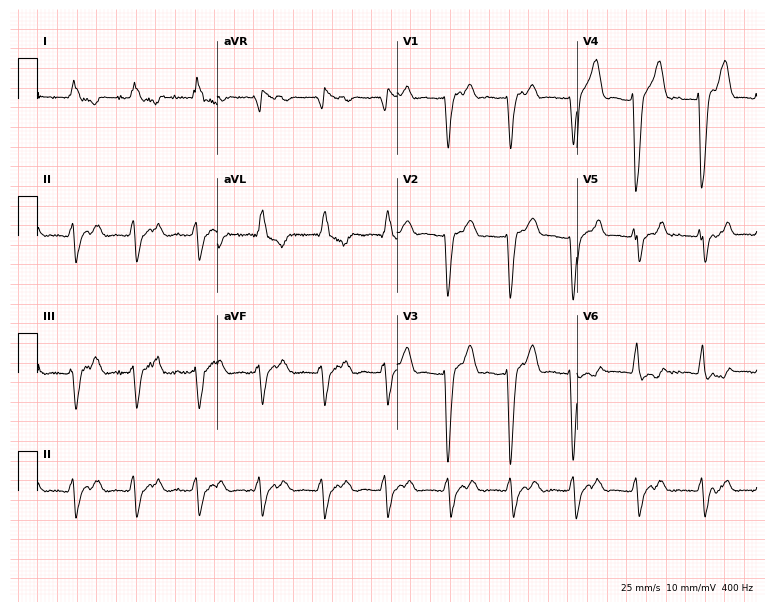
Standard 12-lead ECG recorded from a female patient, 80 years old. None of these six findings is recorded: first-degree AV block, right bundle branch block, left bundle branch block, sinus bradycardia, atrial fibrillation, sinus tachycardia.